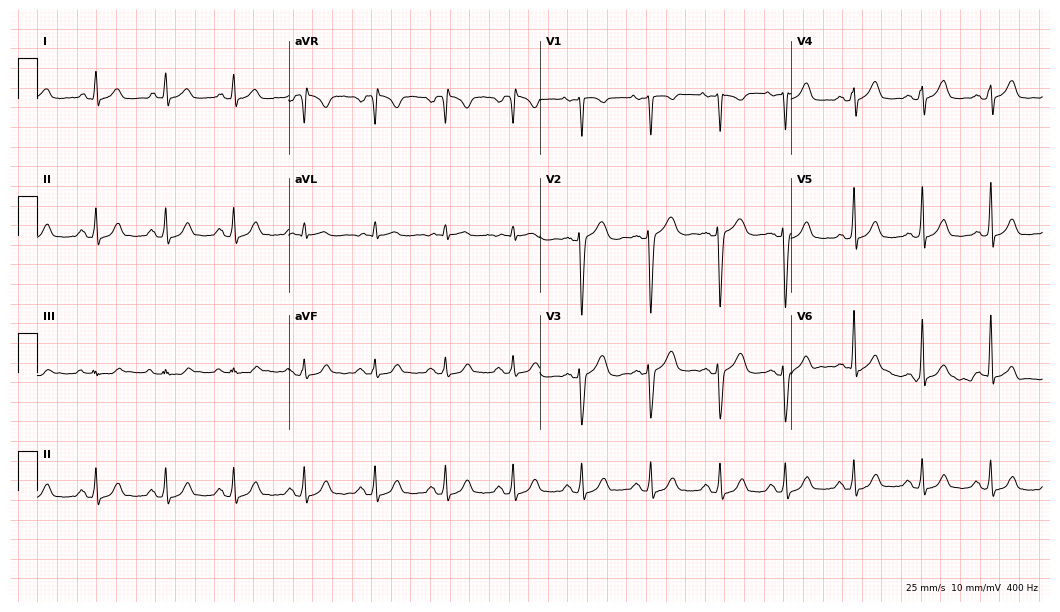
Standard 12-lead ECG recorded from a female, 38 years old. Read as a normal ECG.